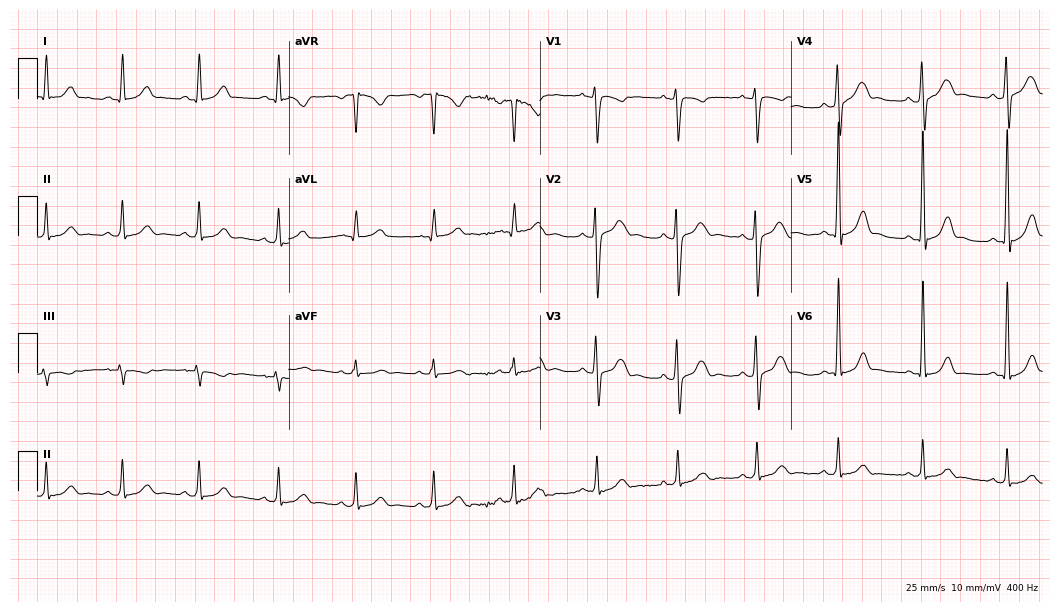
Resting 12-lead electrocardiogram. Patient: a man, 35 years old. None of these six findings is recorded: first-degree AV block, right bundle branch block, left bundle branch block, sinus bradycardia, atrial fibrillation, sinus tachycardia.